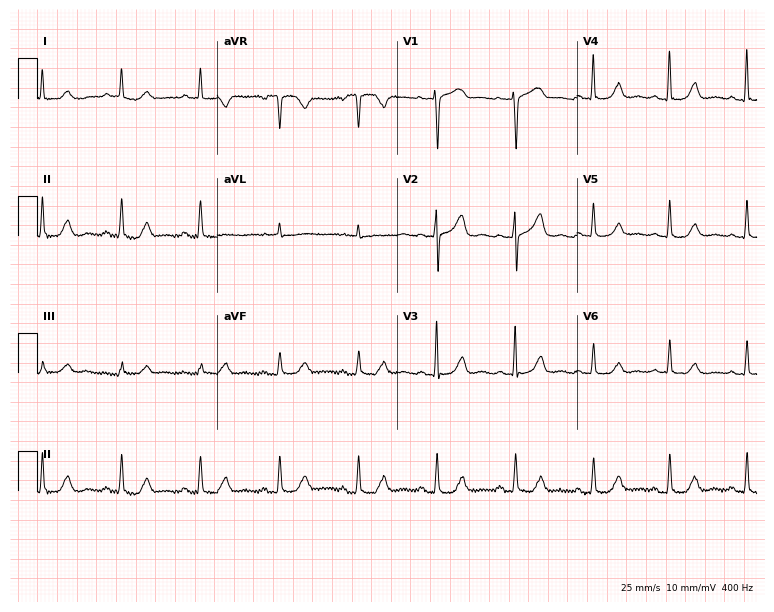
12-lead ECG from a 62-year-old woman. Screened for six findings — first-degree AV block, right bundle branch block, left bundle branch block, sinus bradycardia, atrial fibrillation, sinus tachycardia — none is recorded. Other findings, if any, are not listed.